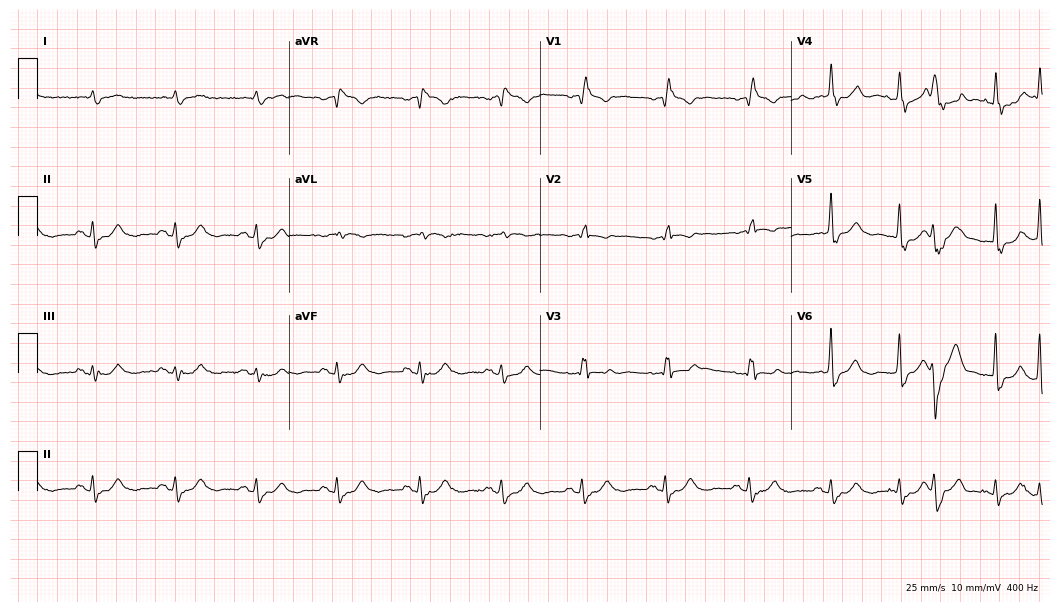
12-lead ECG (10.2-second recording at 400 Hz) from a male, 80 years old. Findings include right bundle branch block.